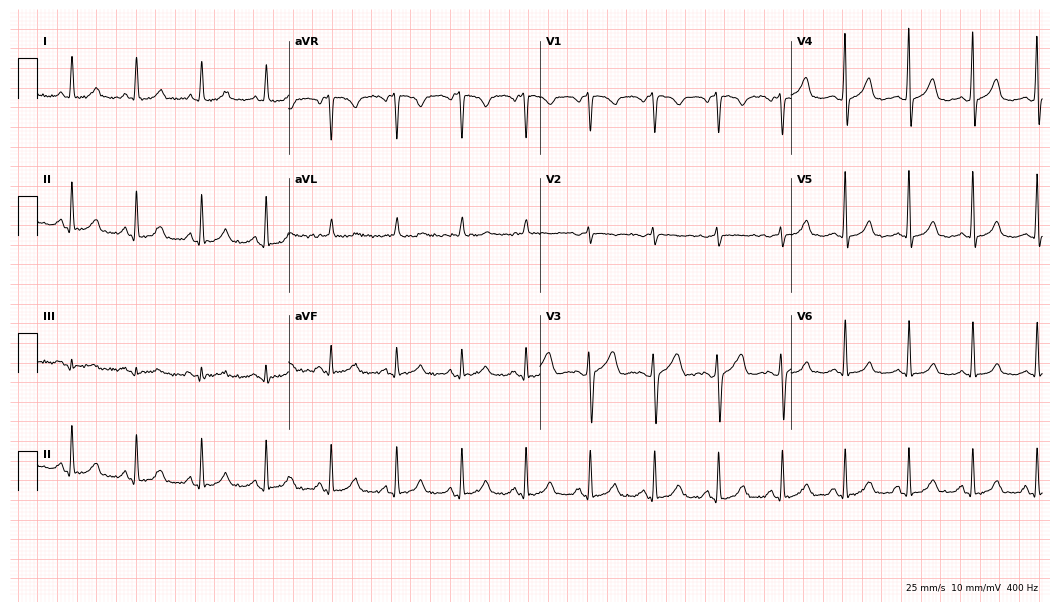
12-lead ECG from a female, 32 years old. Recorded interpretation: within normal limits.